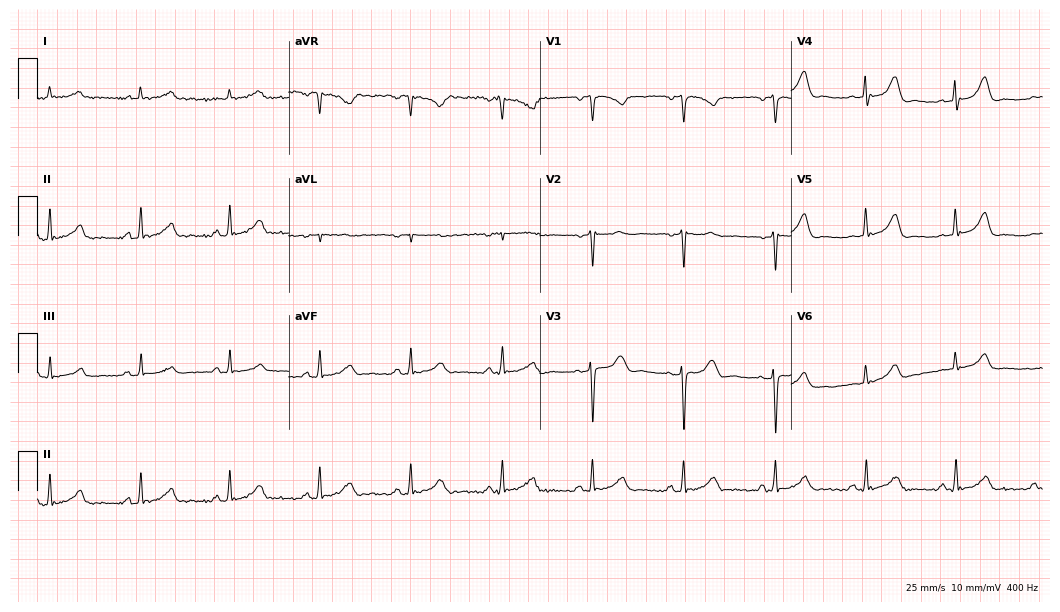
ECG (10.2-second recording at 400 Hz) — a 57-year-old male patient. Screened for six findings — first-degree AV block, right bundle branch block, left bundle branch block, sinus bradycardia, atrial fibrillation, sinus tachycardia — none is recorded. Findings outside these six are not listed.